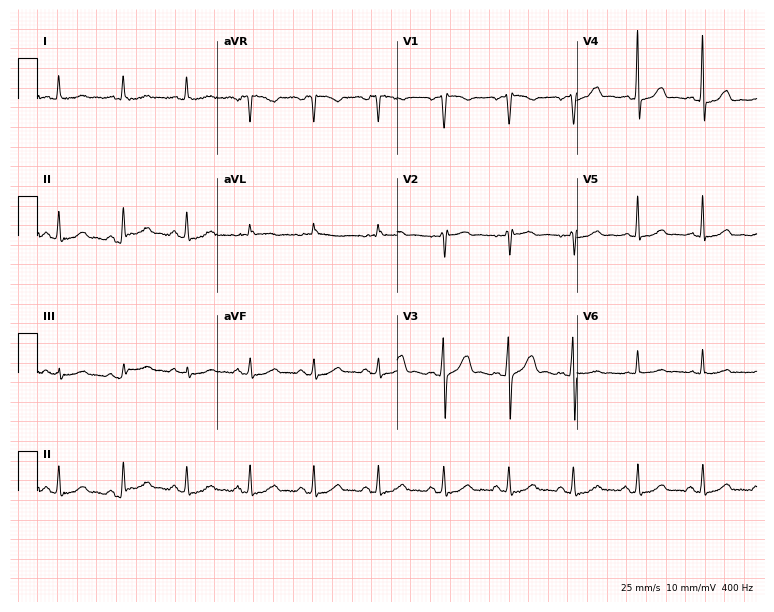
Electrocardiogram, a 44-year-old female patient. Of the six screened findings (first-degree AV block, right bundle branch block, left bundle branch block, sinus bradycardia, atrial fibrillation, sinus tachycardia), none is recorded.